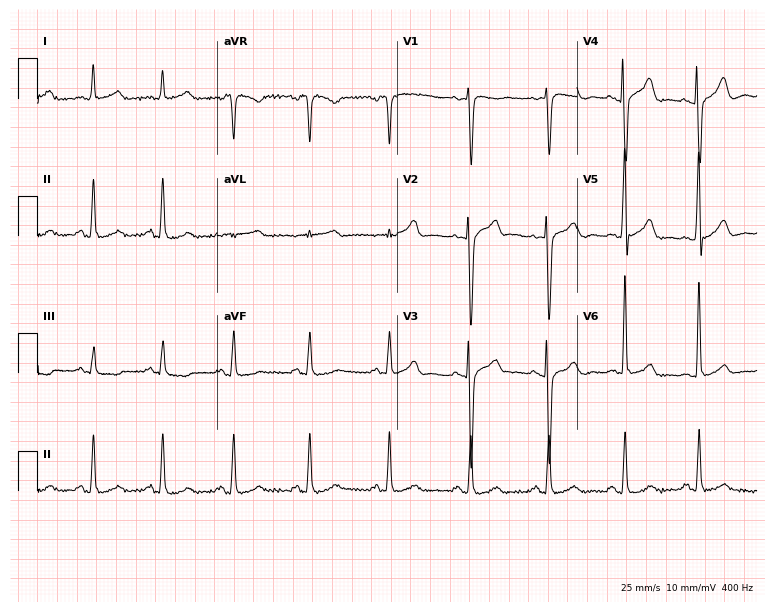
Electrocardiogram, a male, 47 years old. Overall reading on record: normal ECG.